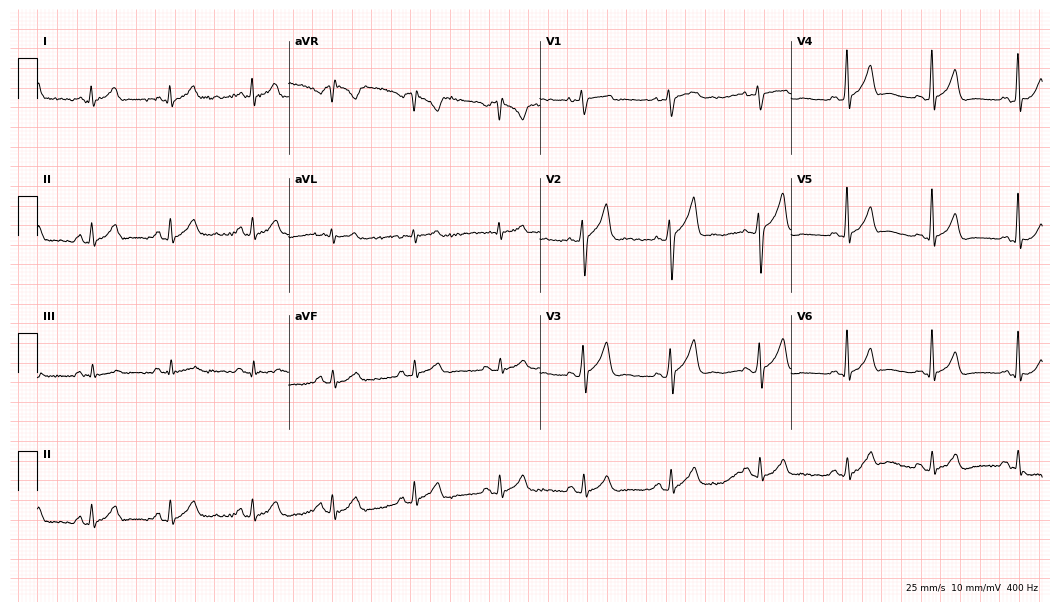
Electrocardiogram, a 28-year-old male. Overall reading on record: normal ECG.